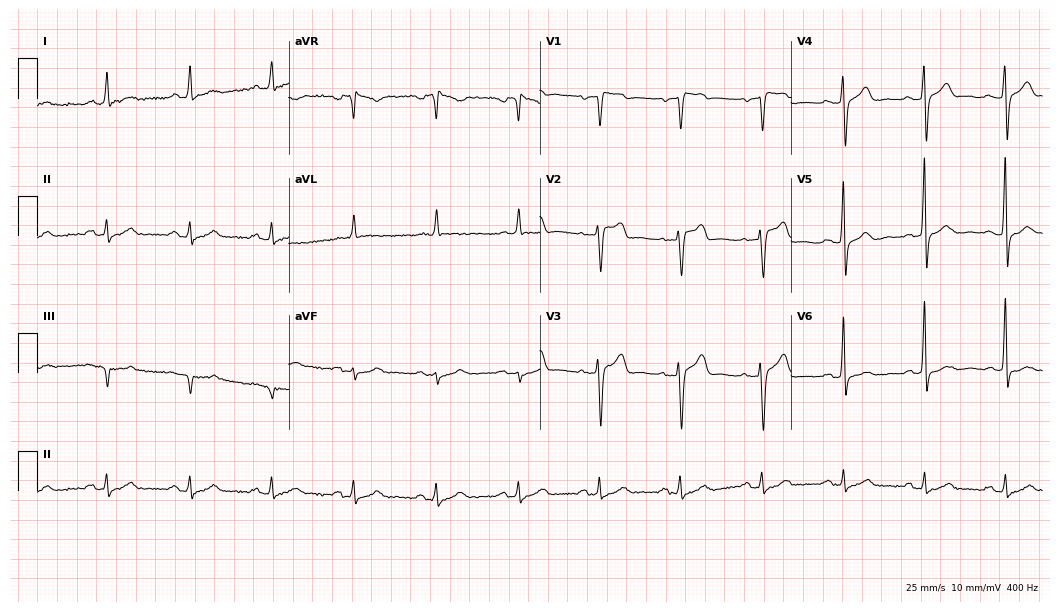
Electrocardiogram (10.2-second recording at 400 Hz), a male patient, 58 years old. Overall reading on record: normal ECG.